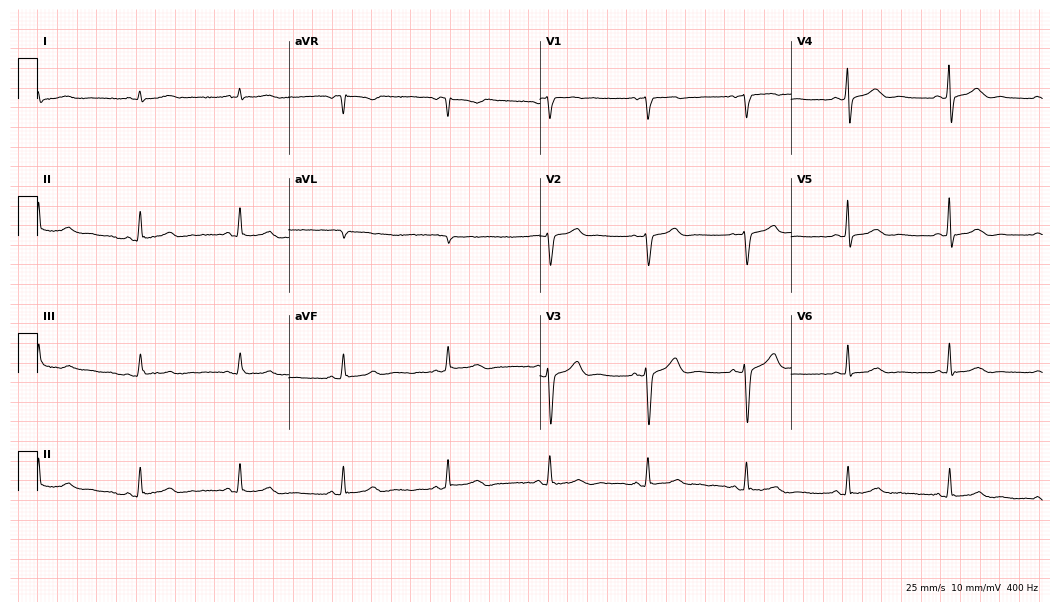
12-lead ECG from a female, 68 years old. Screened for six findings — first-degree AV block, right bundle branch block, left bundle branch block, sinus bradycardia, atrial fibrillation, sinus tachycardia — none is recorded. Findings outside these six are not listed.